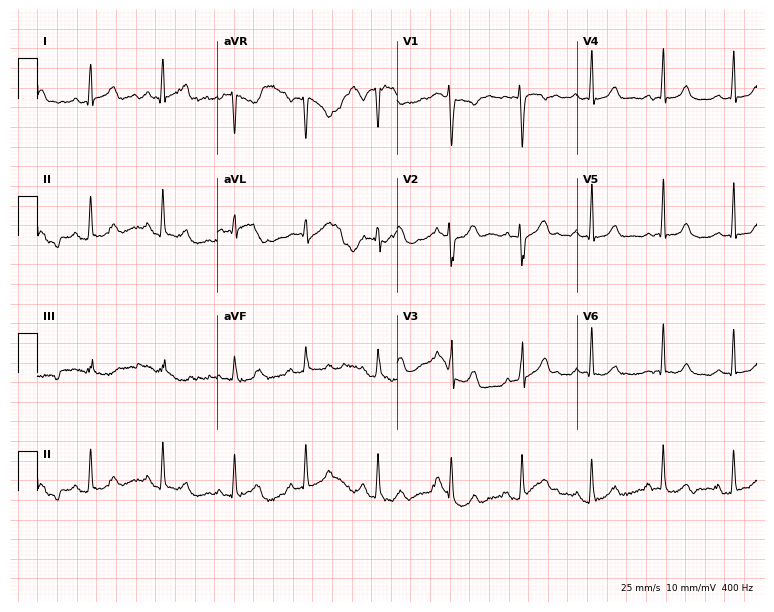
ECG — a 30-year-old female patient. Labelled as a normal ECG.